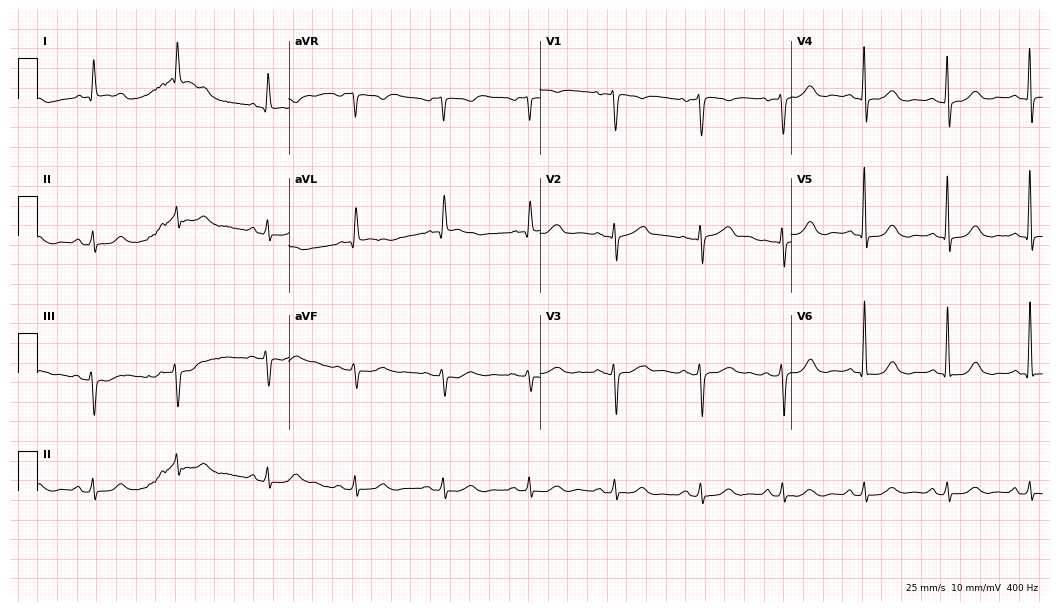
ECG (10.2-second recording at 400 Hz) — a woman, 76 years old. Labelled as a normal ECG.